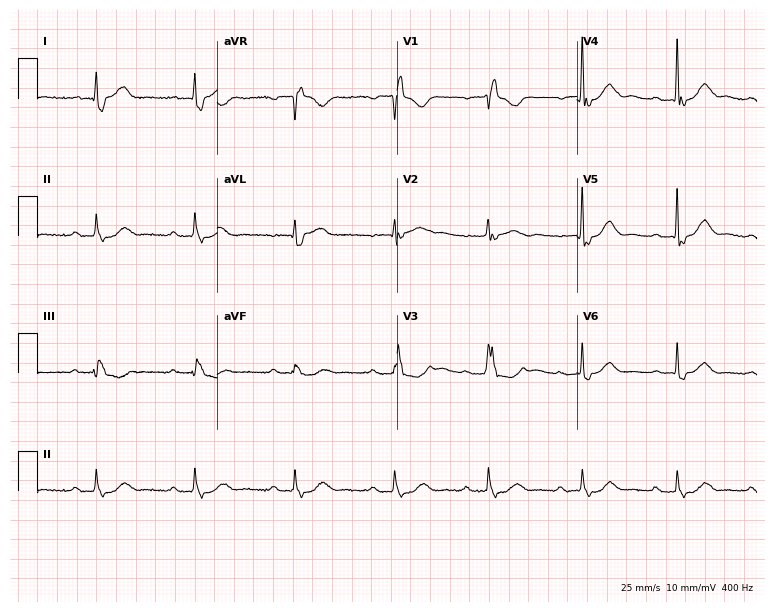
Resting 12-lead electrocardiogram (7.3-second recording at 400 Hz). Patient: an 85-year-old female. None of these six findings is recorded: first-degree AV block, right bundle branch block, left bundle branch block, sinus bradycardia, atrial fibrillation, sinus tachycardia. Only these six findings were labelled.